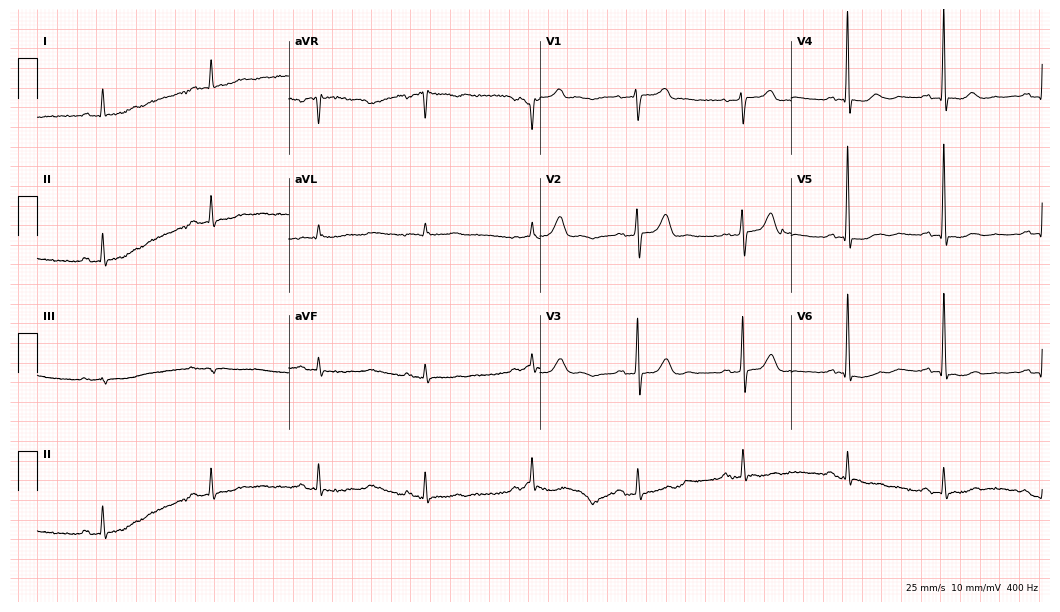
ECG — a man, 78 years old. Screened for six findings — first-degree AV block, right bundle branch block, left bundle branch block, sinus bradycardia, atrial fibrillation, sinus tachycardia — none is recorded.